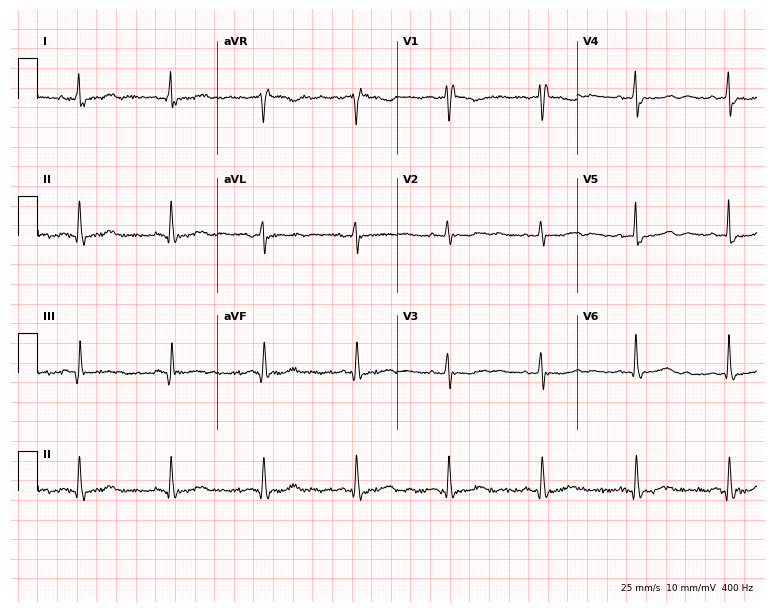
ECG — an 80-year-old female patient. Findings include right bundle branch block.